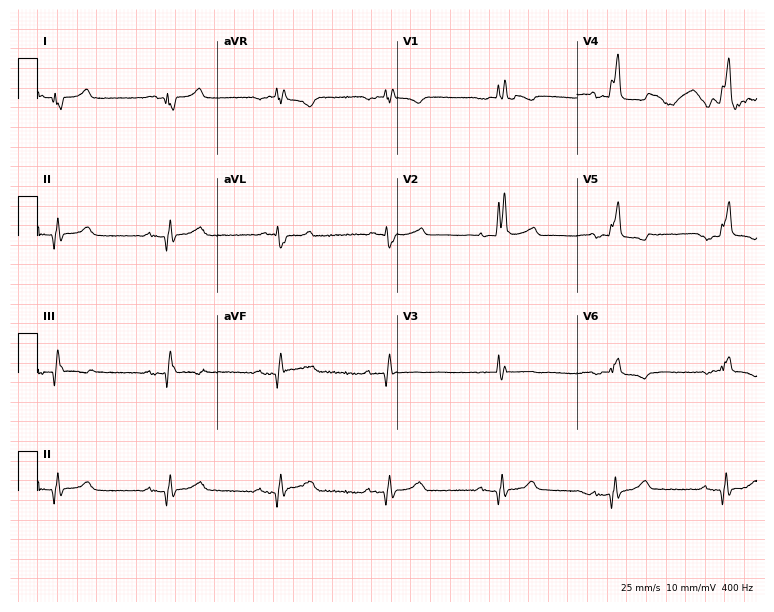
12-lead ECG from a male, 73 years old. Screened for six findings — first-degree AV block, right bundle branch block, left bundle branch block, sinus bradycardia, atrial fibrillation, sinus tachycardia — none is recorded.